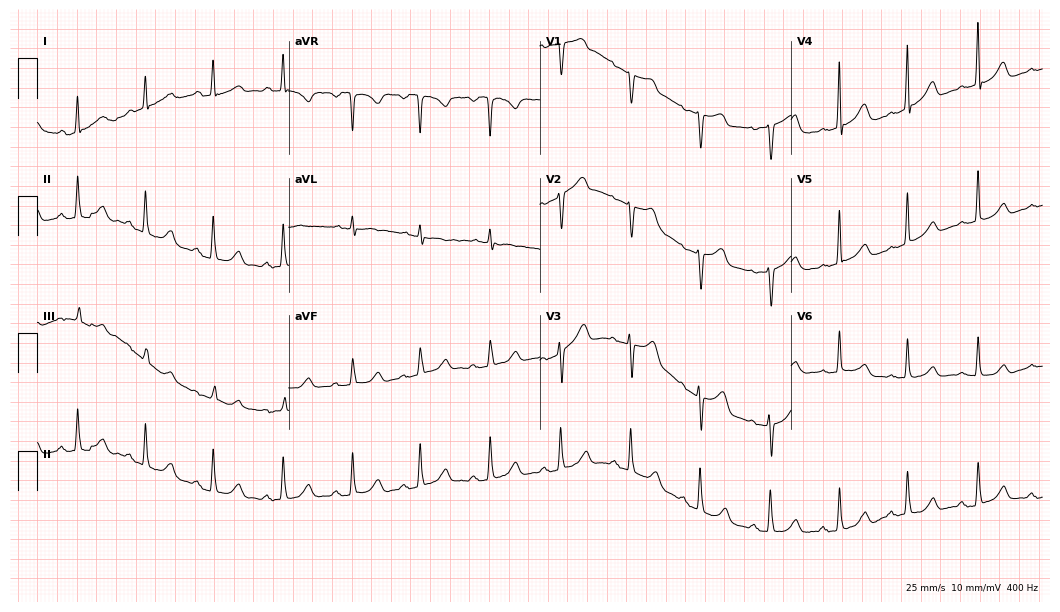
12-lead ECG from a female patient, 82 years old (10.2-second recording at 400 Hz). Recorded interpretation: within normal limits.